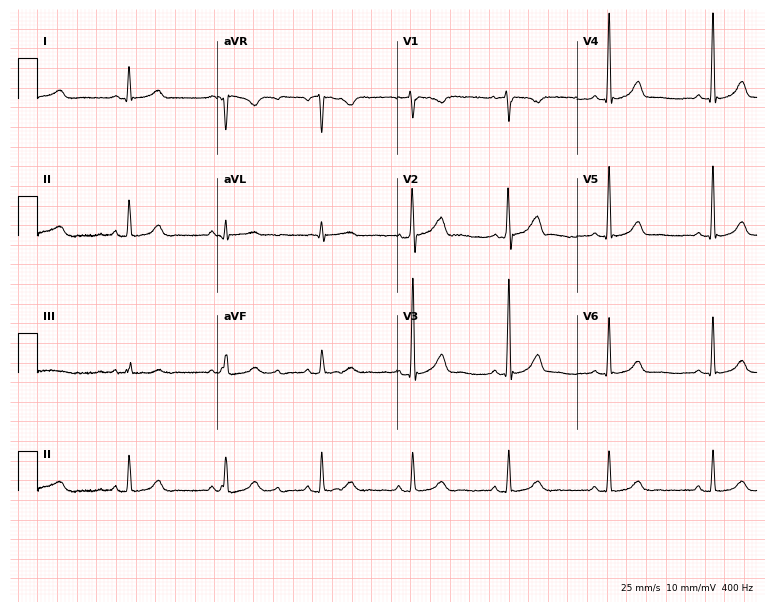
Standard 12-lead ECG recorded from a female patient, 42 years old (7.3-second recording at 400 Hz). Read as a normal ECG.